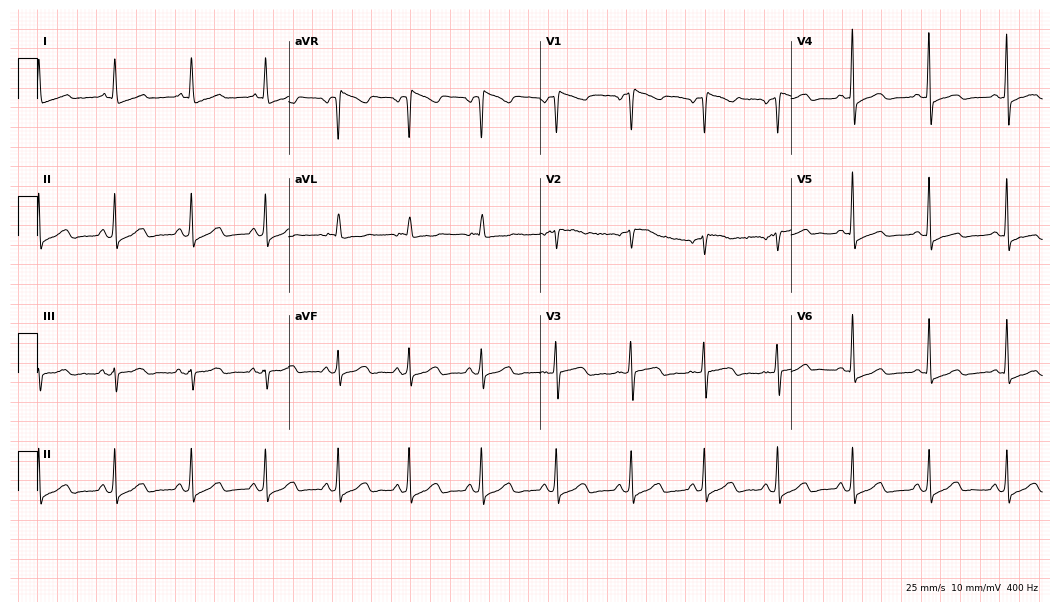
12-lead ECG from a 55-year-old woman (10.2-second recording at 400 Hz). No first-degree AV block, right bundle branch block (RBBB), left bundle branch block (LBBB), sinus bradycardia, atrial fibrillation (AF) or sinus tachycardia recorded for this tracing.